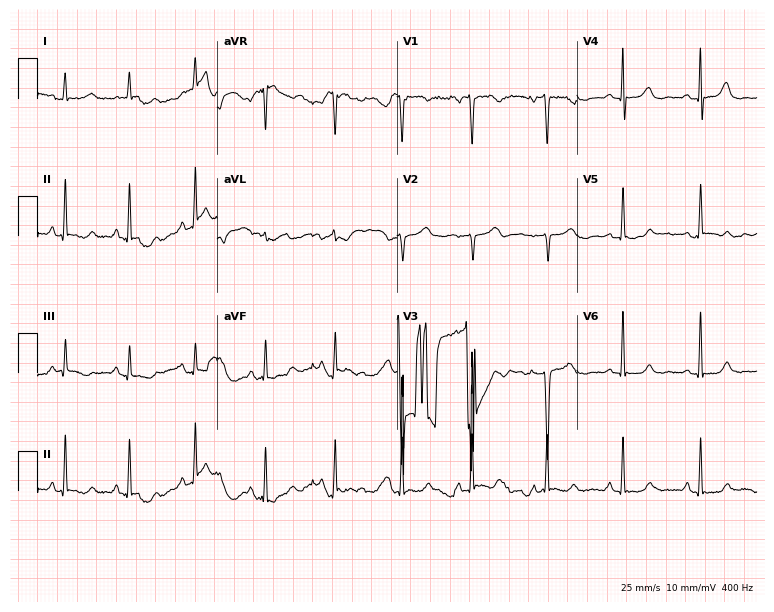
Resting 12-lead electrocardiogram (7.3-second recording at 400 Hz). Patient: a female, 58 years old. None of these six findings is recorded: first-degree AV block, right bundle branch block, left bundle branch block, sinus bradycardia, atrial fibrillation, sinus tachycardia. Findings outside these six are not listed.